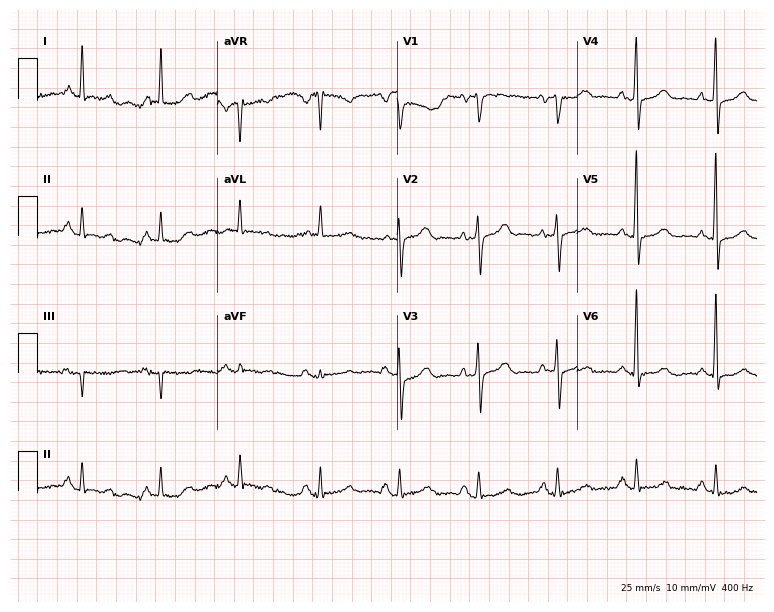
12-lead ECG from a female, 75 years old. No first-degree AV block, right bundle branch block, left bundle branch block, sinus bradycardia, atrial fibrillation or sinus tachycardia recorded for this tracing.